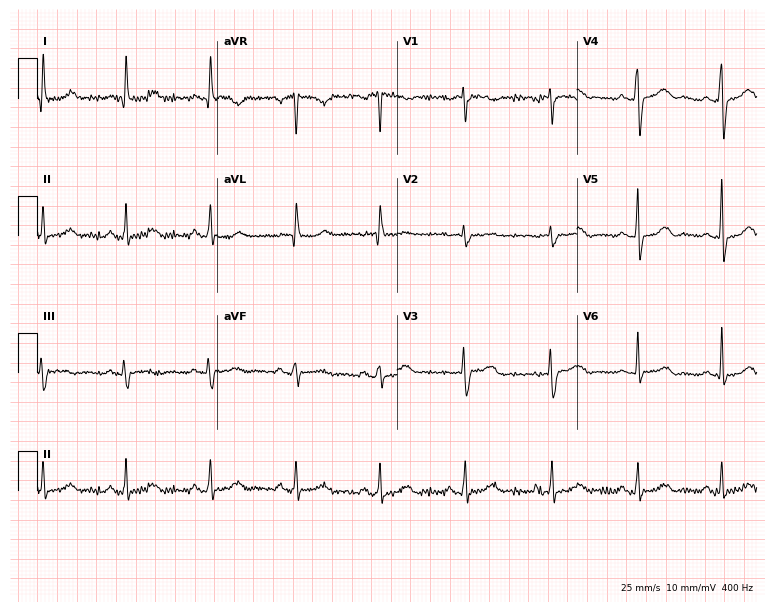
12-lead ECG from a woman, 70 years old. Labelled as a normal ECG.